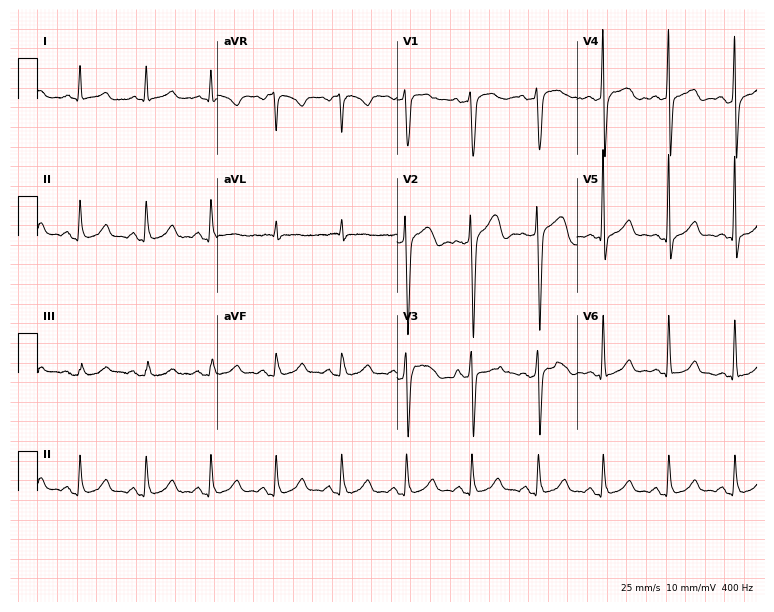
Electrocardiogram (7.3-second recording at 400 Hz), a male patient, 58 years old. Overall reading on record: normal ECG.